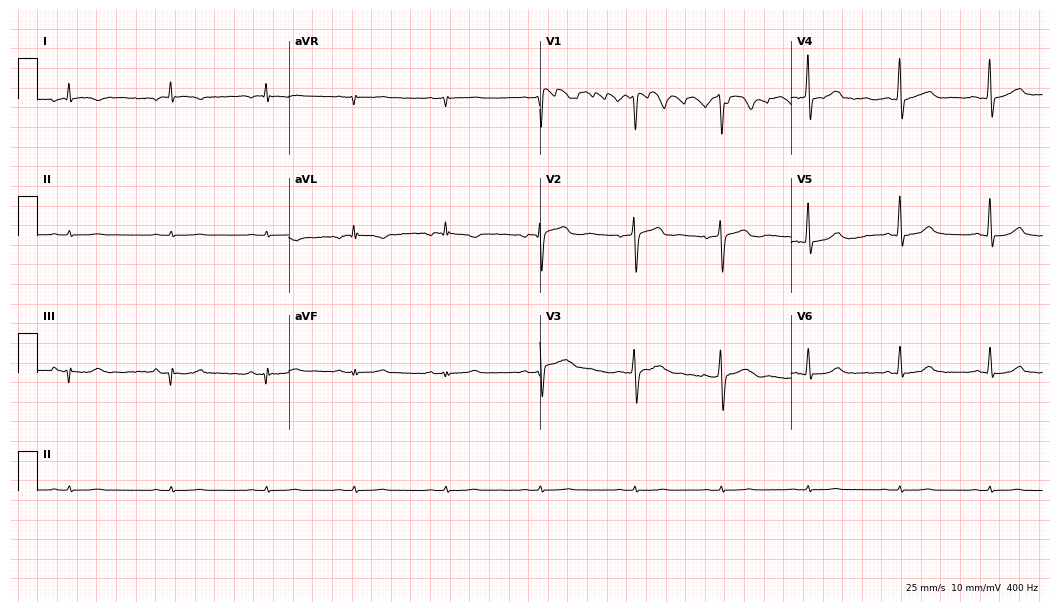
12-lead ECG from a man, 61 years old (10.2-second recording at 400 Hz). No first-degree AV block, right bundle branch block, left bundle branch block, sinus bradycardia, atrial fibrillation or sinus tachycardia recorded for this tracing.